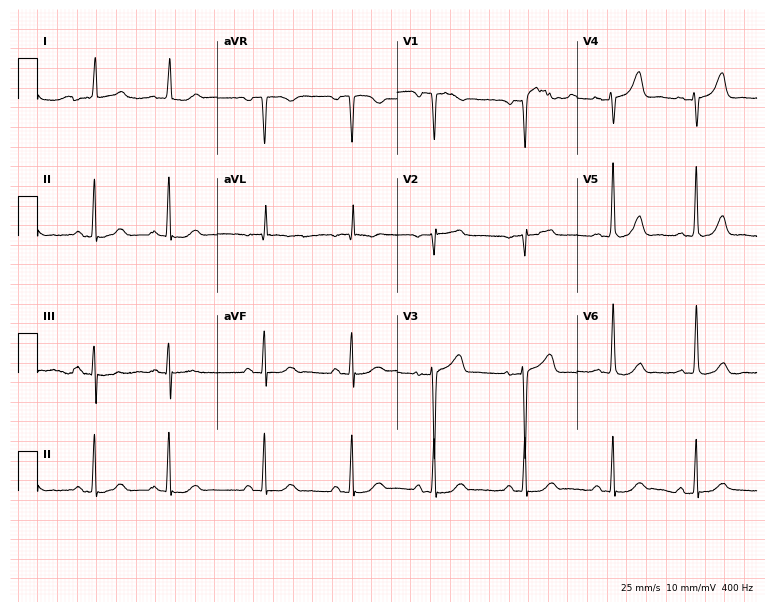
Electrocardiogram (7.3-second recording at 400 Hz), a 78-year-old female. Overall reading on record: normal ECG.